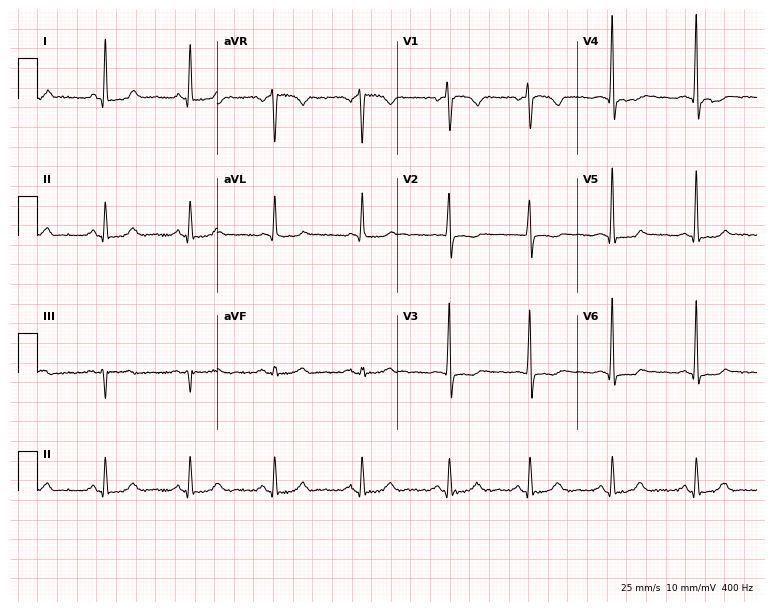
Resting 12-lead electrocardiogram (7.3-second recording at 400 Hz). Patient: a woman, 44 years old. None of these six findings is recorded: first-degree AV block, right bundle branch block (RBBB), left bundle branch block (LBBB), sinus bradycardia, atrial fibrillation (AF), sinus tachycardia. Findings outside these six are not listed.